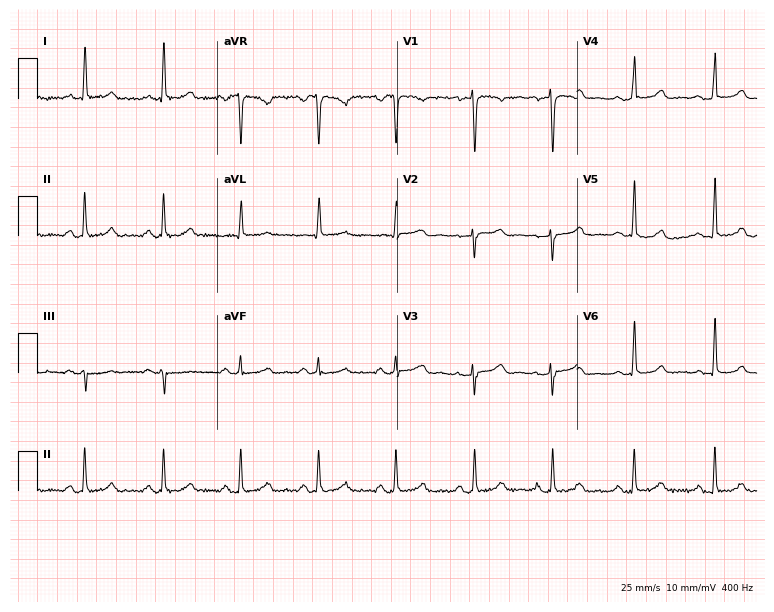
Electrocardiogram, a female, 54 years old. Of the six screened findings (first-degree AV block, right bundle branch block, left bundle branch block, sinus bradycardia, atrial fibrillation, sinus tachycardia), none is recorded. Findings outside these six are not listed.